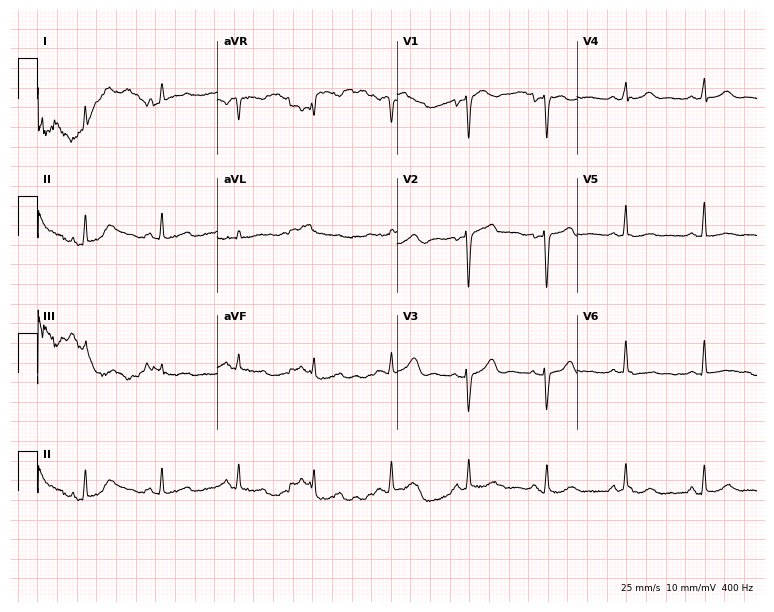
Standard 12-lead ECG recorded from a woman, 51 years old (7.3-second recording at 400 Hz). Read as a normal ECG.